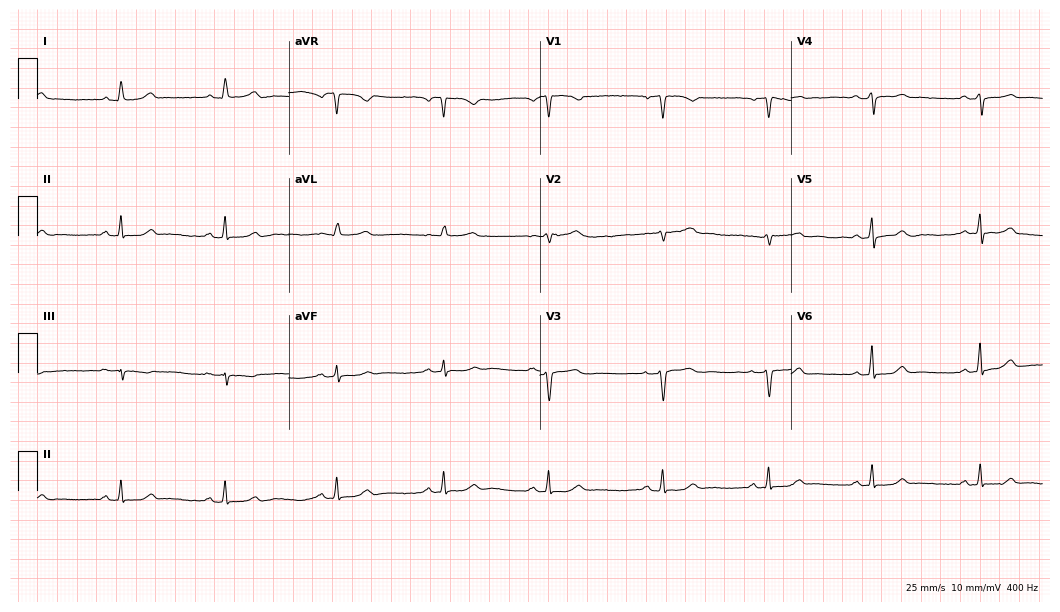
Standard 12-lead ECG recorded from a 37-year-old female patient. Read as a normal ECG.